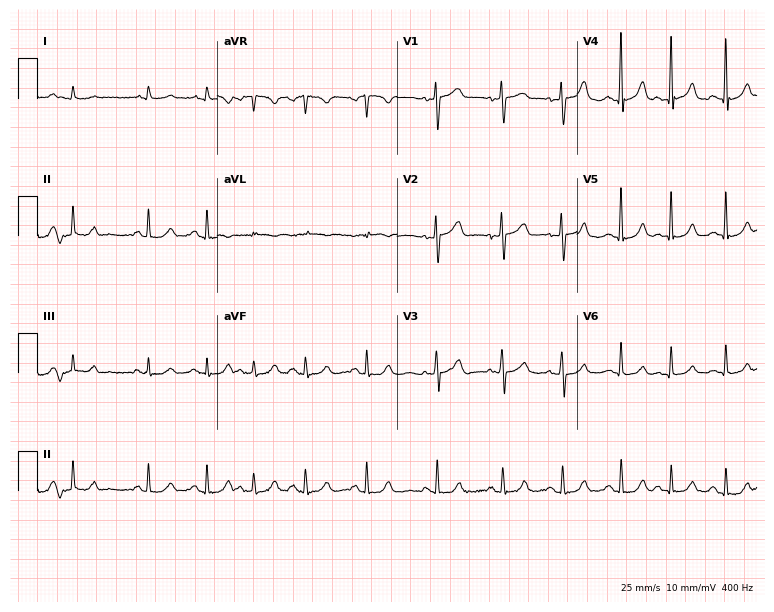
Resting 12-lead electrocardiogram (7.3-second recording at 400 Hz). Patient: a 78-year-old woman. Read as a normal ECG.